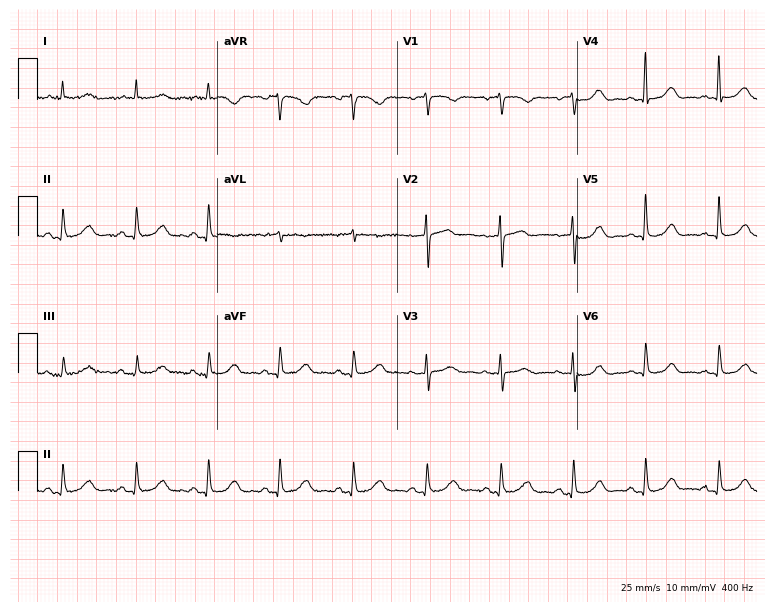
Resting 12-lead electrocardiogram (7.3-second recording at 400 Hz). Patient: an 85-year-old female. Read as a normal ECG.